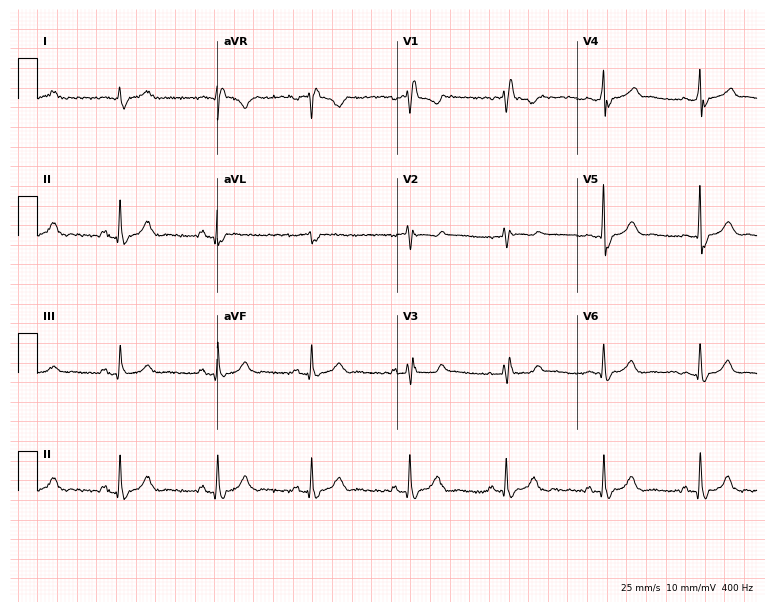
Standard 12-lead ECG recorded from a 46-year-old male (7.3-second recording at 400 Hz). The tracing shows right bundle branch block (RBBB).